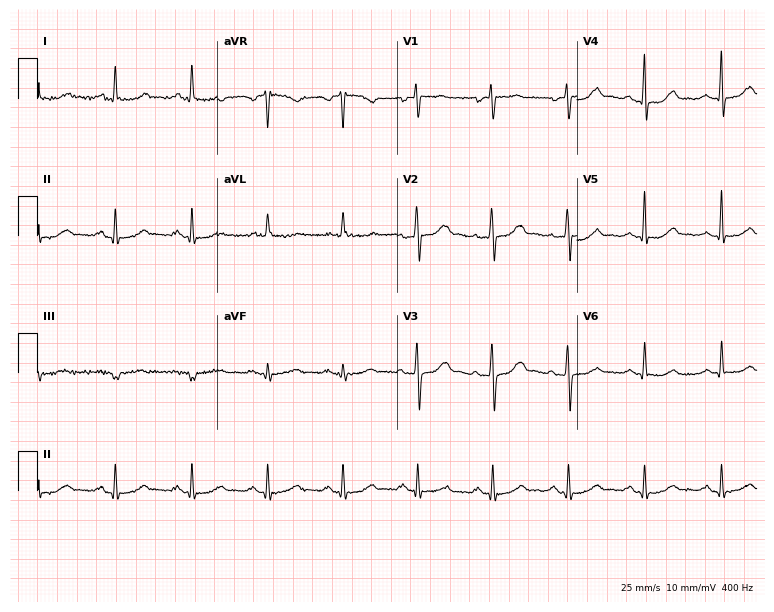
ECG (7.3-second recording at 400 Hz) — a woman, 58 years old. Screened for six findings — first-degree AV block, right bundle branch block, left bundle branch block, sinus bradycardia, atrial fibrillation, sinus tachycardia — none is recorded. Other findings, if any, are not listed.